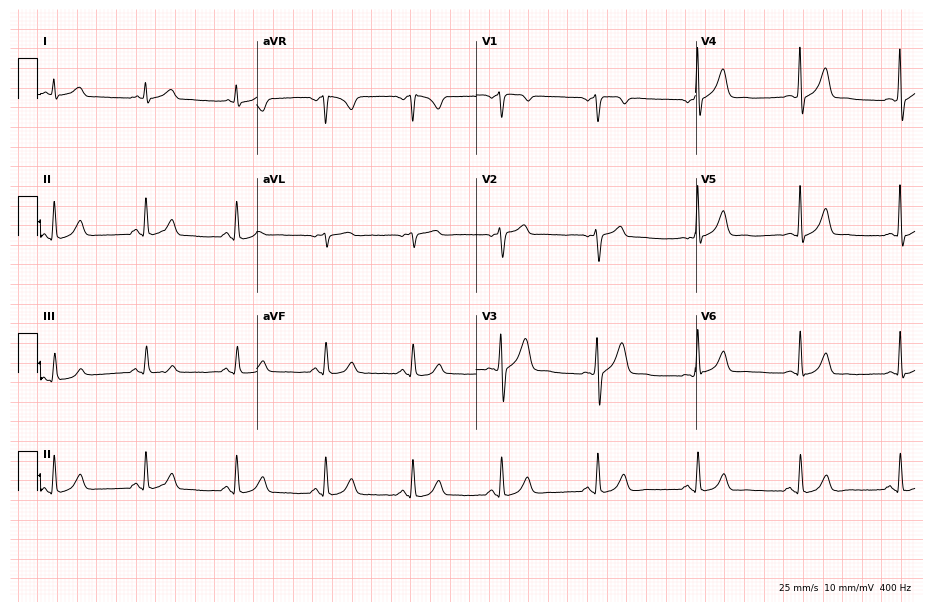
Standard 12-lead ECG recorded from a male patient, 55 years old (8.9-second recording at 400 Hz). Read as a normal ECG.